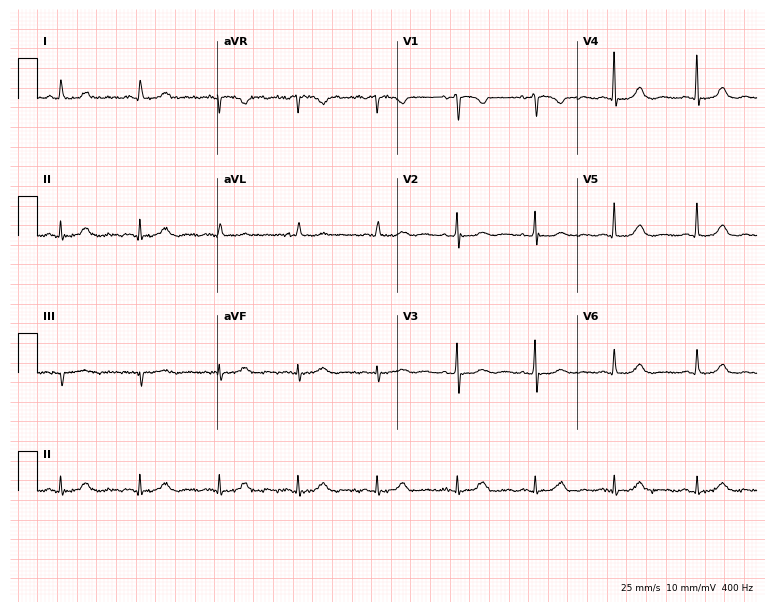
Standard 12-lead ECG recorded from a 75-year-old woman (7.3-second recording at 400 Hz). None of these six findings is recorded: first-degree AV block, right bundle branch block, left bundle branch block, sinus bradycardia, atrial fibrillation, sinus tachycardia.